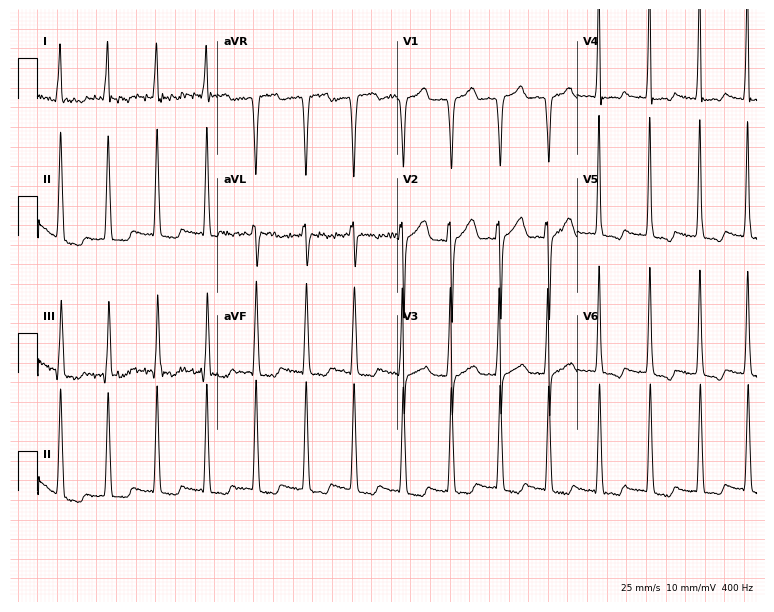
Electrocardiogram, a woman, 63 years old. Interpretation includes sinus tachycardia (a sinus rate of 100 beats per minute or more).